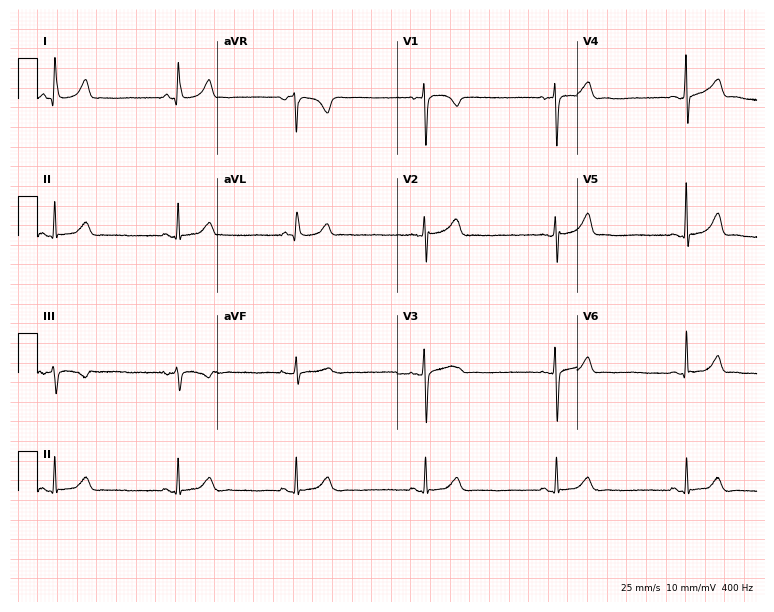
12-lead ECG from a 30-year-old female patient. Findings include sinus bradycardia (a sinus rate of 50 beats per minute or less).